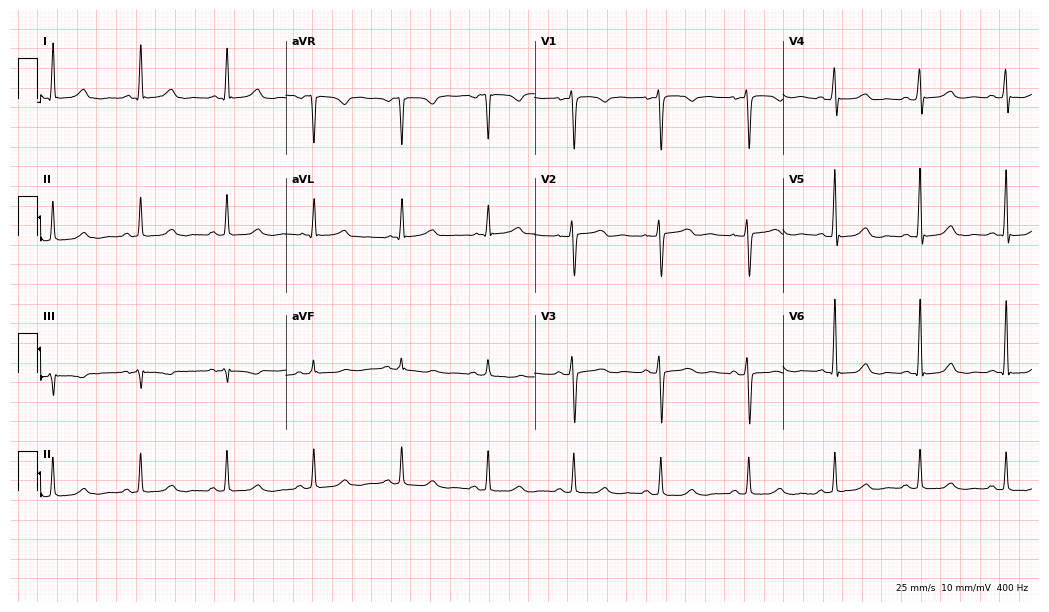
Electrocardiogram, a 53-year-old female. Of the six screened findings (first-degree AV block, right bundle branch block, left bundle branch block, sinus bradycardia, atrial fibrillation, sinus tachycardia), none is recorded. Only these six findings were labelled.